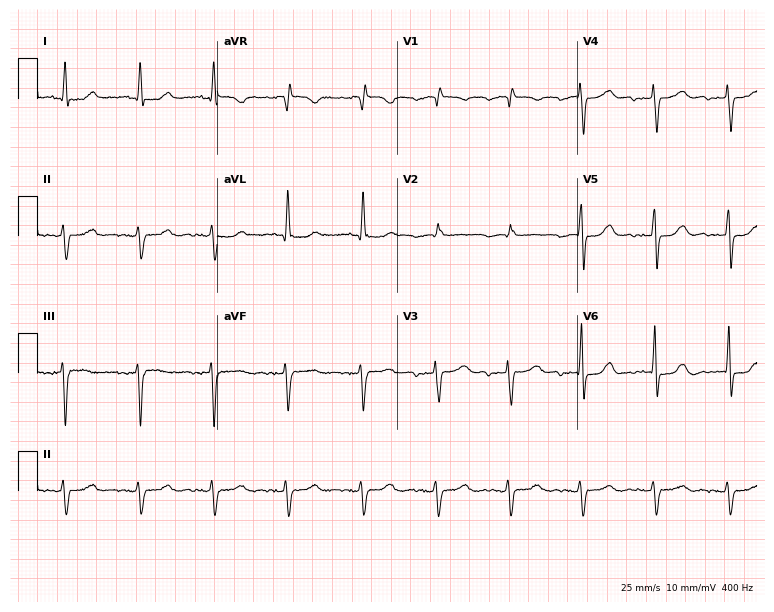
Electrocardiogram (7.3-second recording at 400 Hz), a female patient, 82 years old. Of the six screened findings (first-degree AV block, right bundle branch block, left bundle branch block, sinus bradycardia, atrial fibrillation, sinus tachycardia), none is recorded.